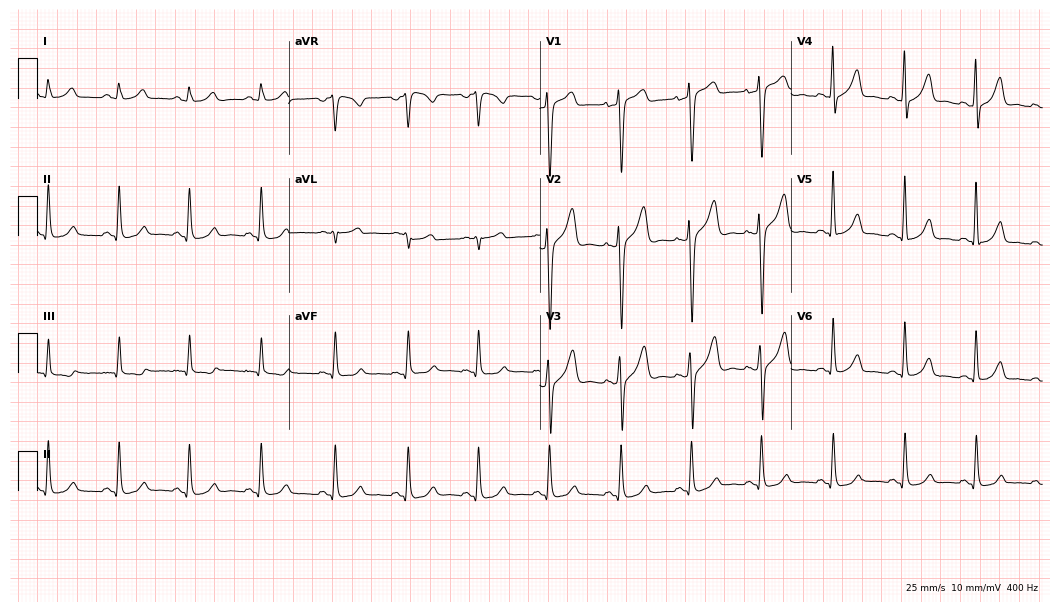
Resting 12-lead electrocardiogram. Patient: a 51-year-old male. Read as a normal ECG.